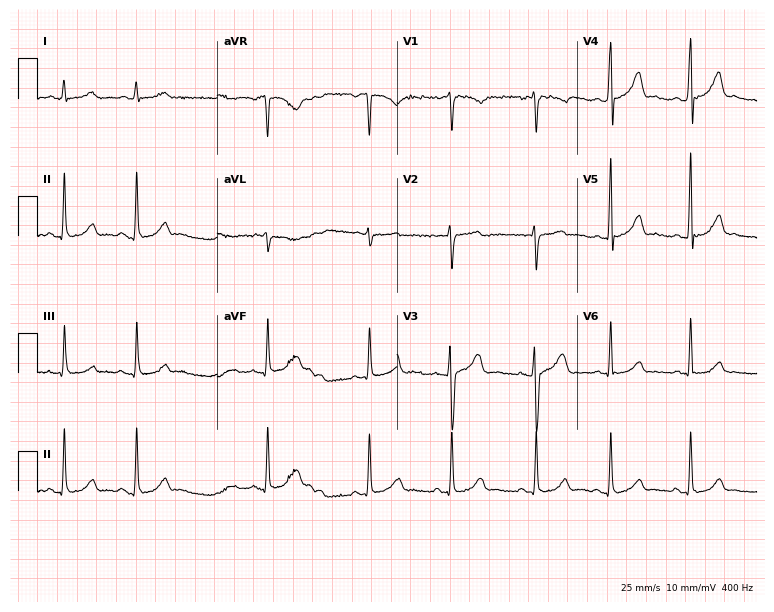
Resting 12-lead electrocardiogram (7.3-second recording at 400 Hz). Patient: a female, 32 years old. Read as a normal ECG.